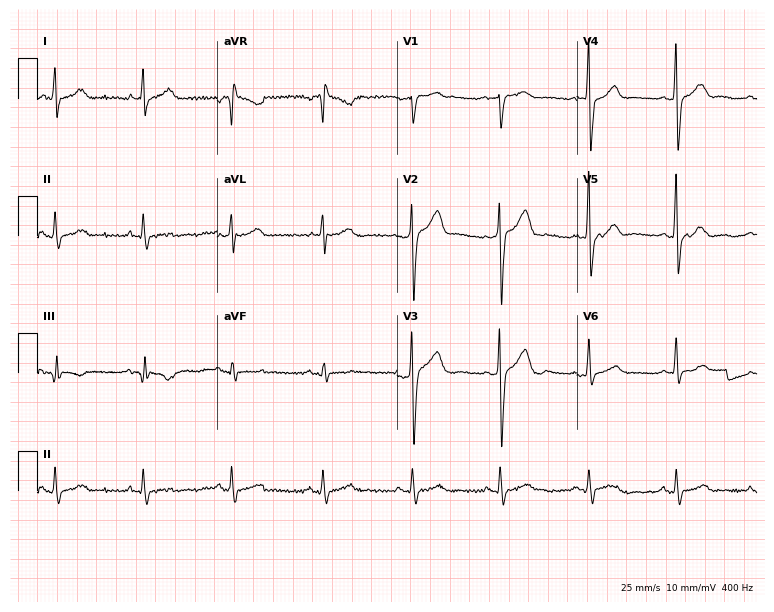
12-lead ECG from a man, 33 years old (7.3-second recording at 400 Hz). No first-degree AV block, right bundle branch block, left bundle branch block, sinus bradycardia, atrial fibrillation or sinus tachycardia recorded for this tracing.